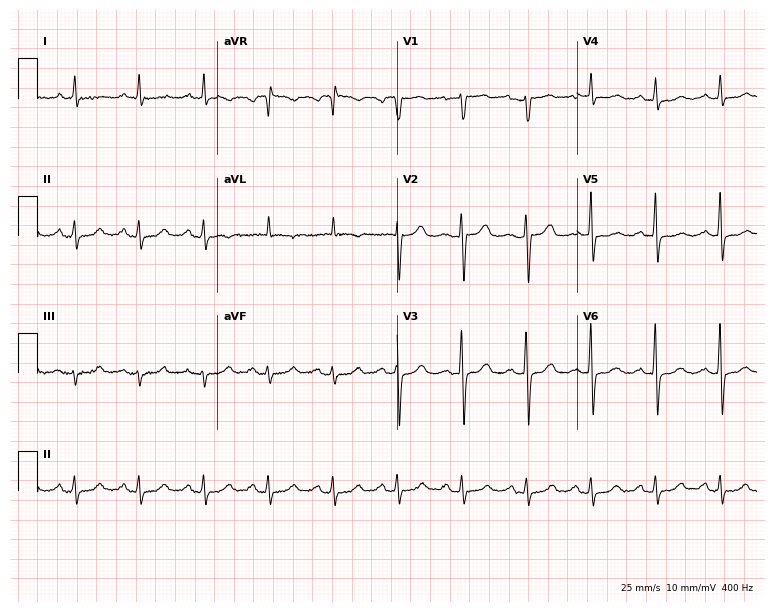
Resting 12-lead electrocardiogram. Patient: a 69-year-old woman. Read as a normal ECG.